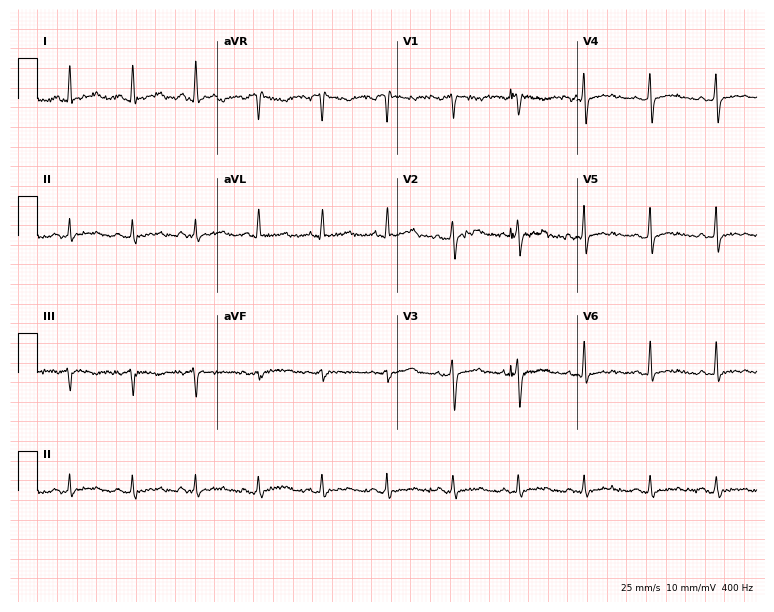
Resting 12-lead electrocardiogram (7.3-second recording at 400 Hz). Patient: a 31-year-old male. None of these six findings is recorded: first-degree AV block, right bundle branch block (RBBB), left bundle branch block (LBBB), sinus bradycardia, atrial fibrillation (AF), sinus tachycardia. Only these six findings were labelled.